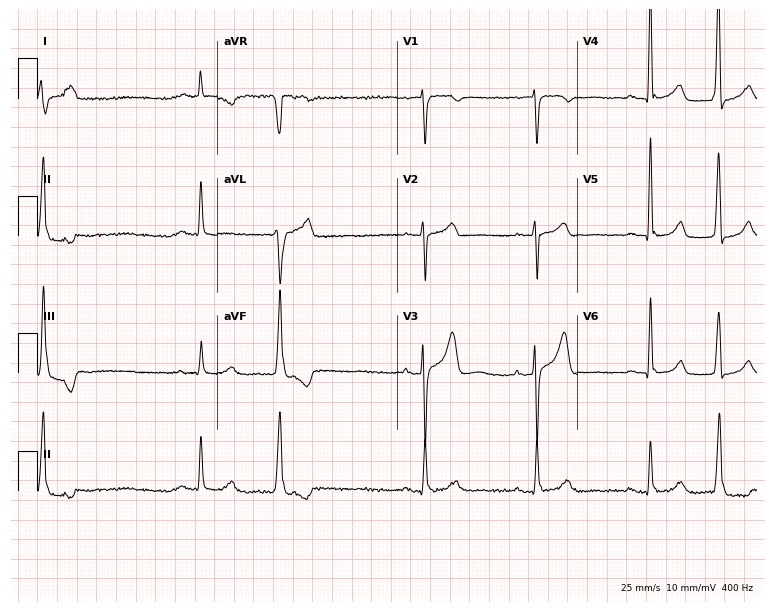
Standard 12-lead ECG recorded from a male patient, 84 years old. None of these six findings is recorded: first-degree AV block, right bundle branch block (RBBB), left bundle branch block (LBBB), sinus bradycardia, atrial fibrillation (AF), sinus tachycardia.